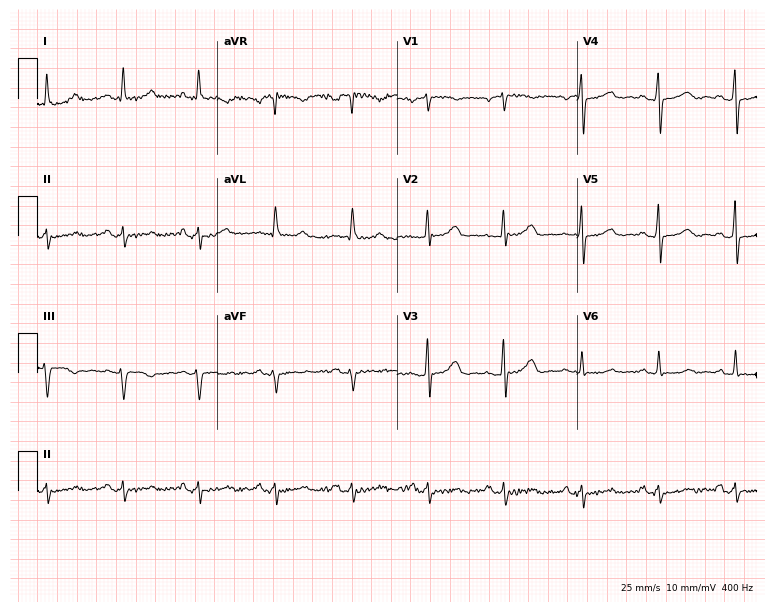
12-lead ECG from a female, 47 years old. No first-degree AV block, right bundle branch block (RBBB), left bundle branch block (LBBB), sinus bradycardia, atrial fibrillation (AF) or sinus tachycardia recorded for this tracing. Other findings, if any, are not listed.